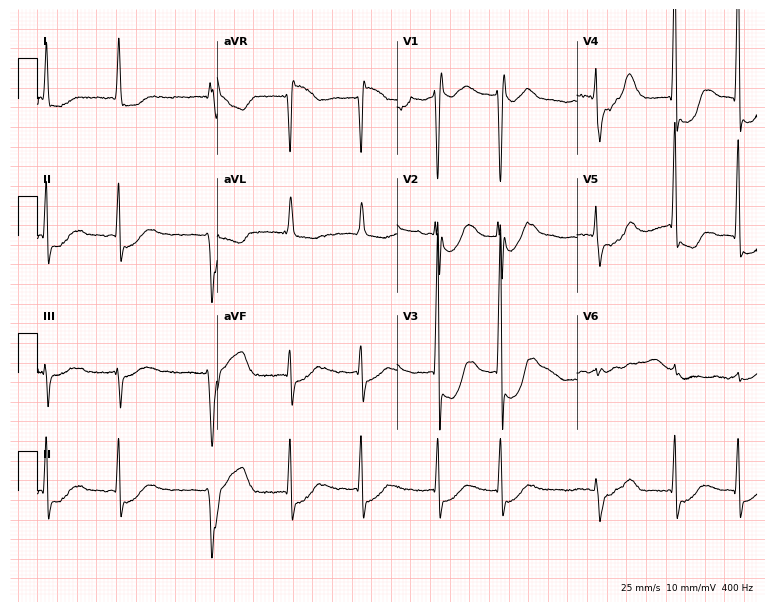
12-lead ECG from a male, 79 years old. No first-degree AV block, right bundle branch block (RBBB), left bundle branch block (LBBB), sinus bradycardia, atrial fibrillation (AF) or sinus tachycardia recorded for this tracing.